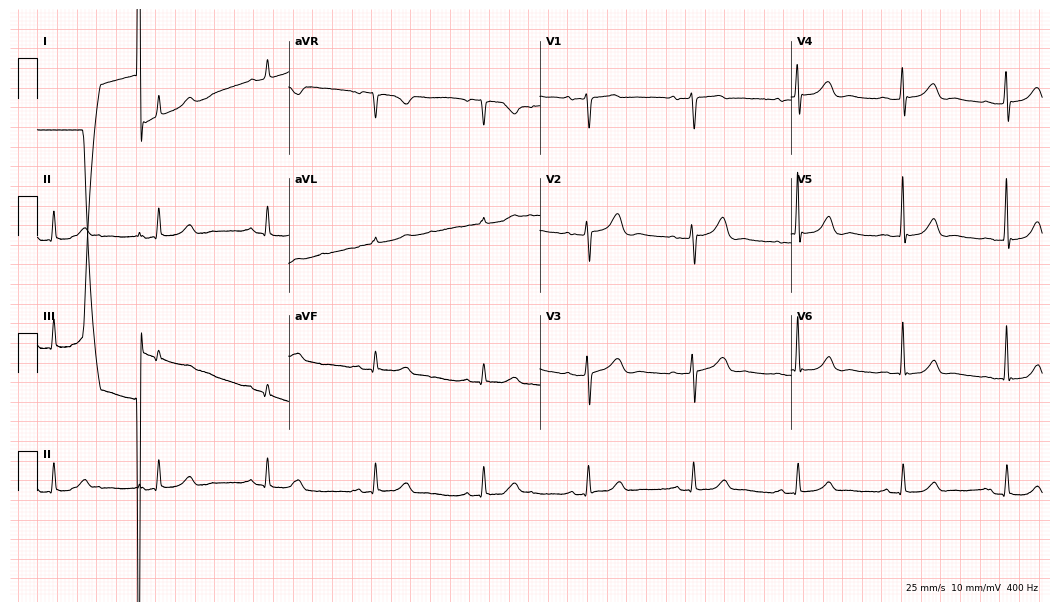
ECG (10.2-second recording at 400 Hz) — a 66-year-old woman. Labelled as a normal ECG.